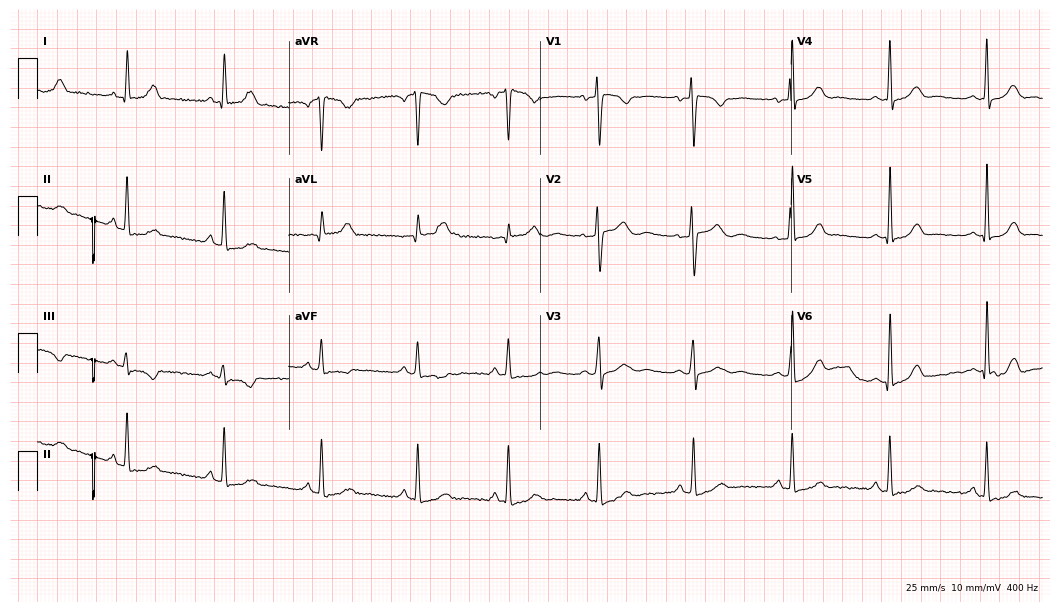
Electrocardiogram (10.2-second recording at 400 Hz), a 47-year-old female. Of the six screened findings (first-degree AV block, right bundle branch block (RBBB), left bundle branch block (LBBB), sinus bradycardia, atrial fibrillation (AF), sinus tachycardia), none is recorded. Other findings, if any, are not listed.